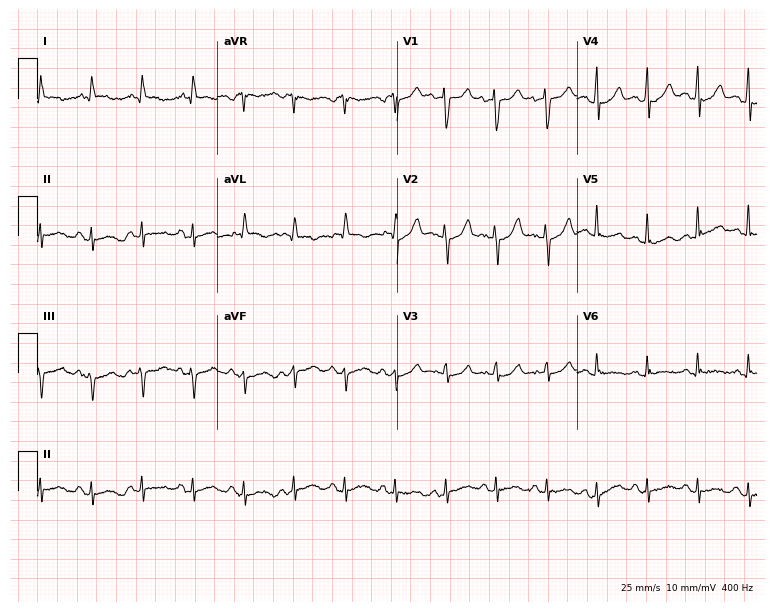
Resting 12-lead electrocardiogram (7.3-second recording at 400 Hz). Patient: a male, 71 years old. The tracing shows sinus tachycardia (a sinus rate of 100 beats per minute or more).